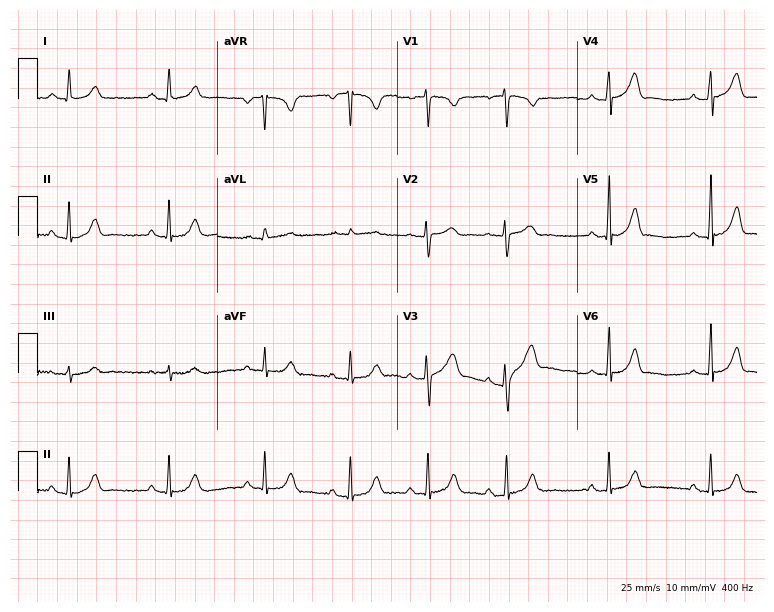
Standard 12-lead ECG recorded from a 28-year-old female patient (7.3-second recording at 400 Hz). Read as a normal ECG.